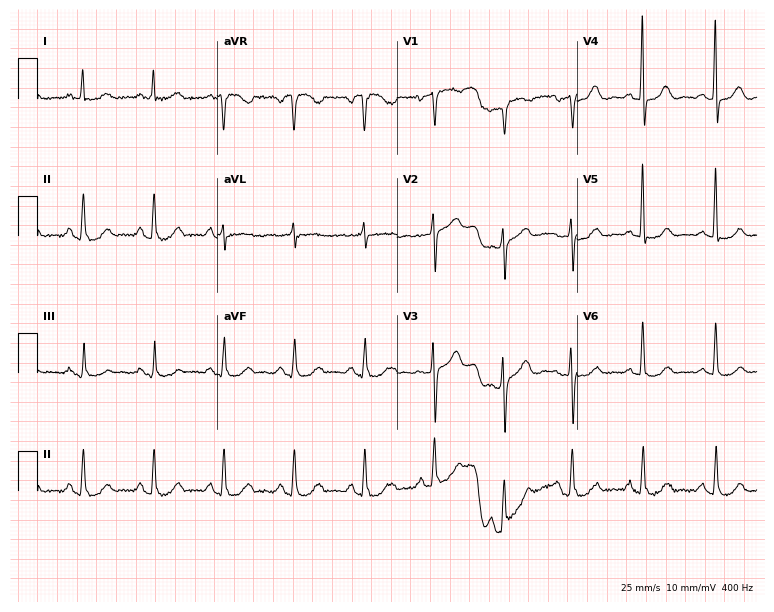
Resting 12-lead electrocardiogram. Patient: a 67-year-old female. Read as a normal ECG.